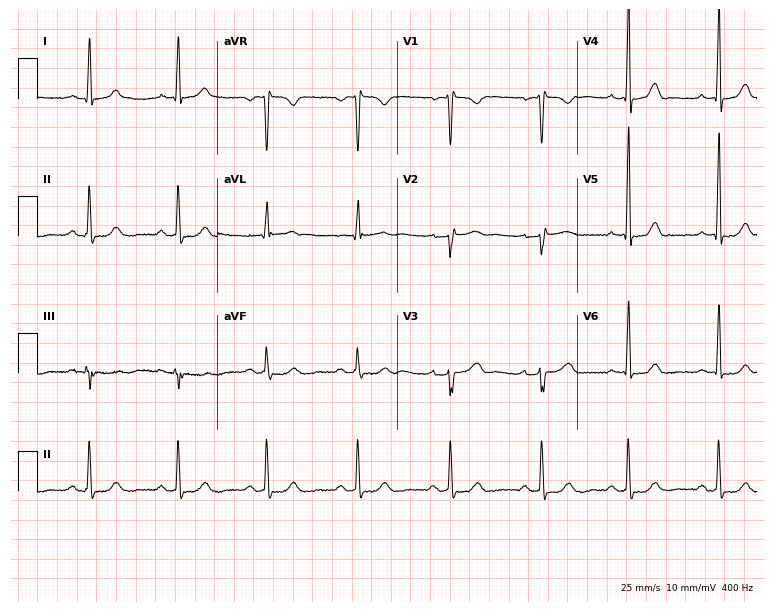
12-lead ECG from a 51-year-old female (7.3-second recording at 400 Hz). No first-degree AV block, right bundle branch block (RBBB), left bundle branch block (LBBB), sinus bradycardia, atrial fibrillation (AF) or sinus tachycardia recorded for this tracing. Other findings, if any, are not listed.